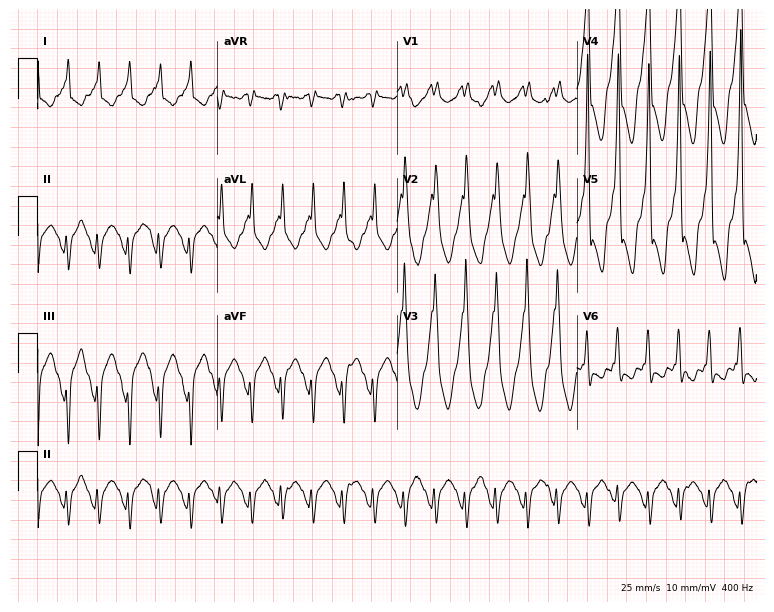
12-lead ECG from a man, 72 years old (7.3-second recording at 400 Hz). Shows sinus tachycardia (a sinus rate of 100 beats per minute or more).